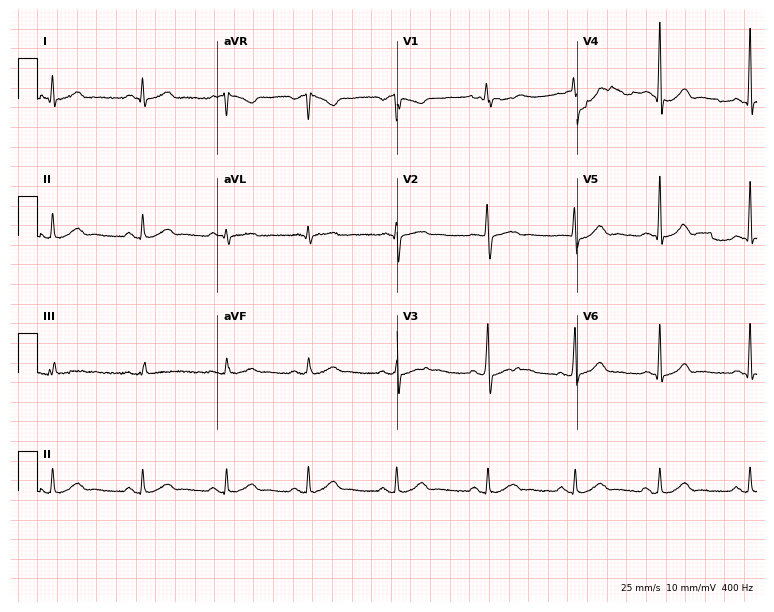
12-lead ECG from a male, 50 years old. Recorded interpretation: within normal limits.